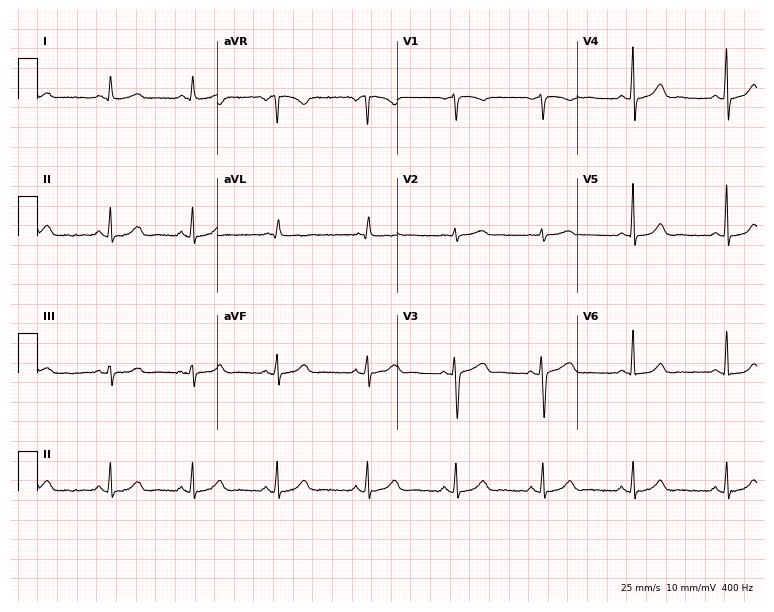
12-lead ECG from a woman, 49 years old (7.3-second recording at 400 Hz). Recorded interpretation: within normal limits.